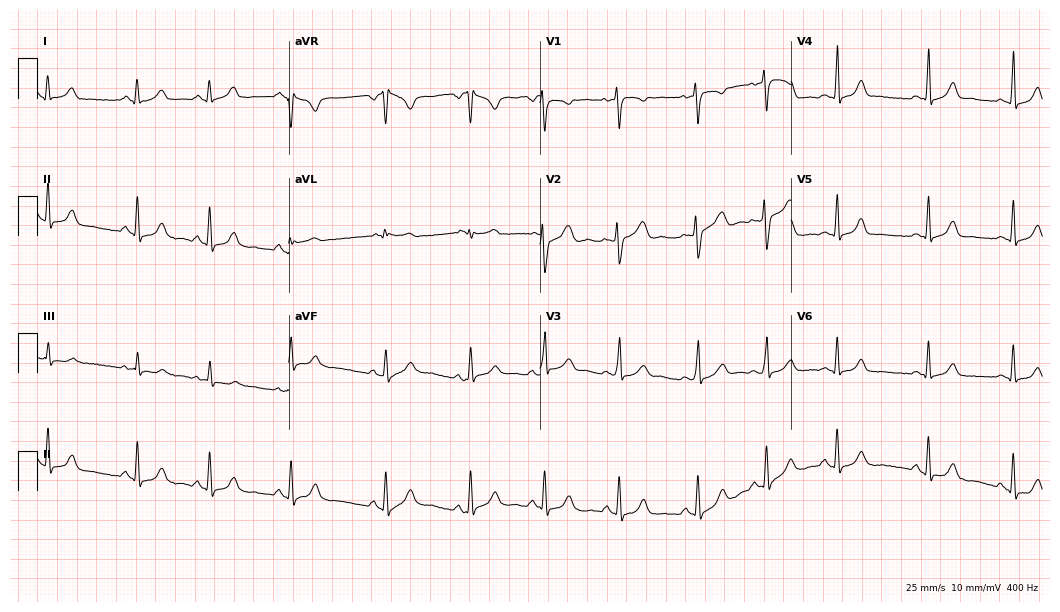
12-lead ECG from a 20-year-old female patient. Recorded interpretation: within normal limits.